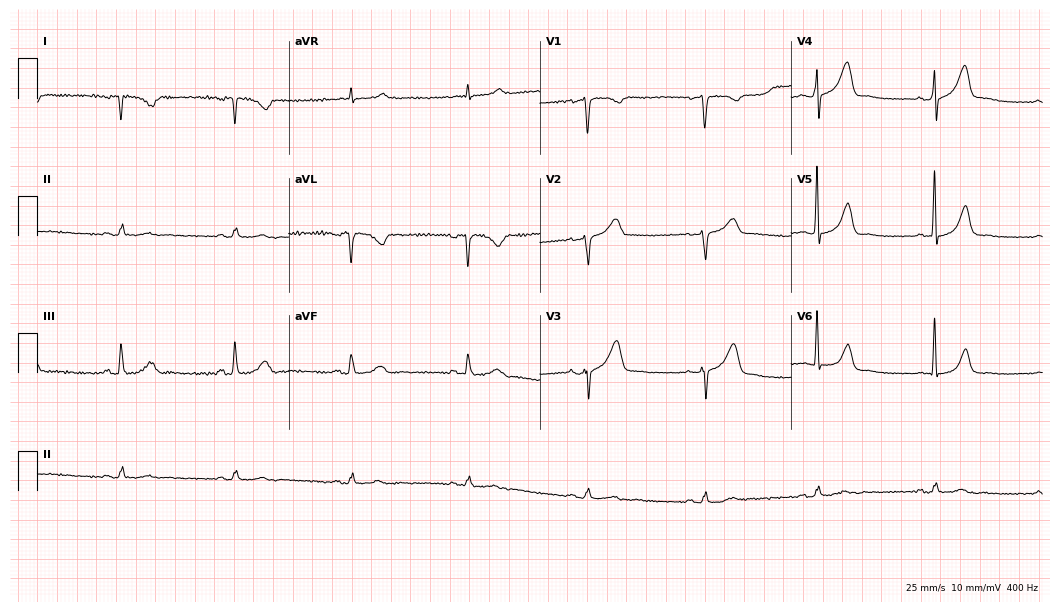
12-lead ECG from a male, 62 years old. Screened for six findings — first-degree AV block, right bundle branch block, left bundle branch block, sinus bradycardia, atrial fibrillation, sinus tachycardia — none is recorded.